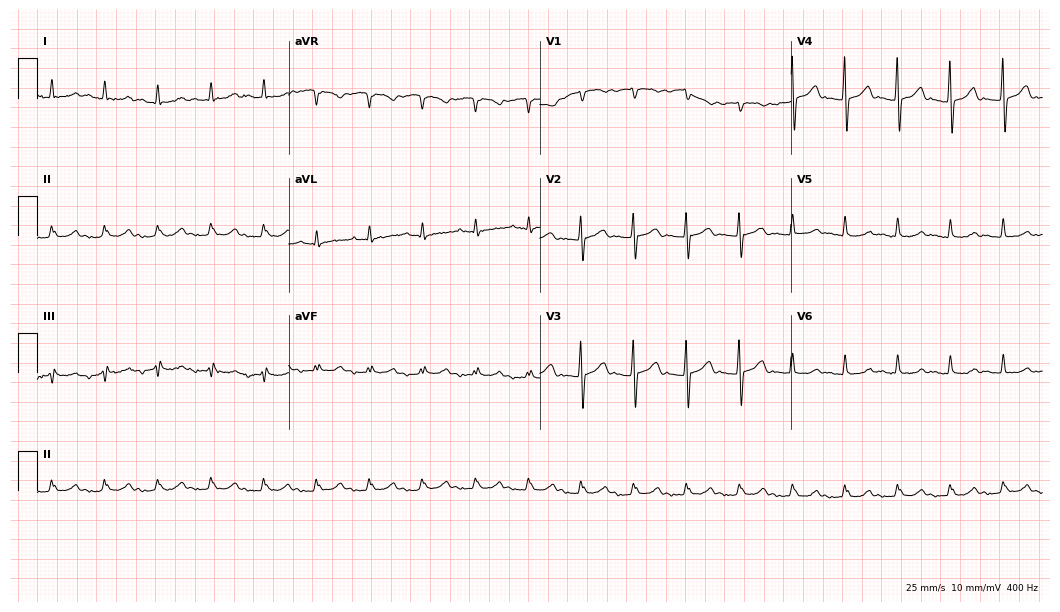
12-lead ECG from an 84-year-old male patient (10.2-second recording at 400 Hz). Shows sinus tachycardia (a sinus rate of 100 beats per minute or more).